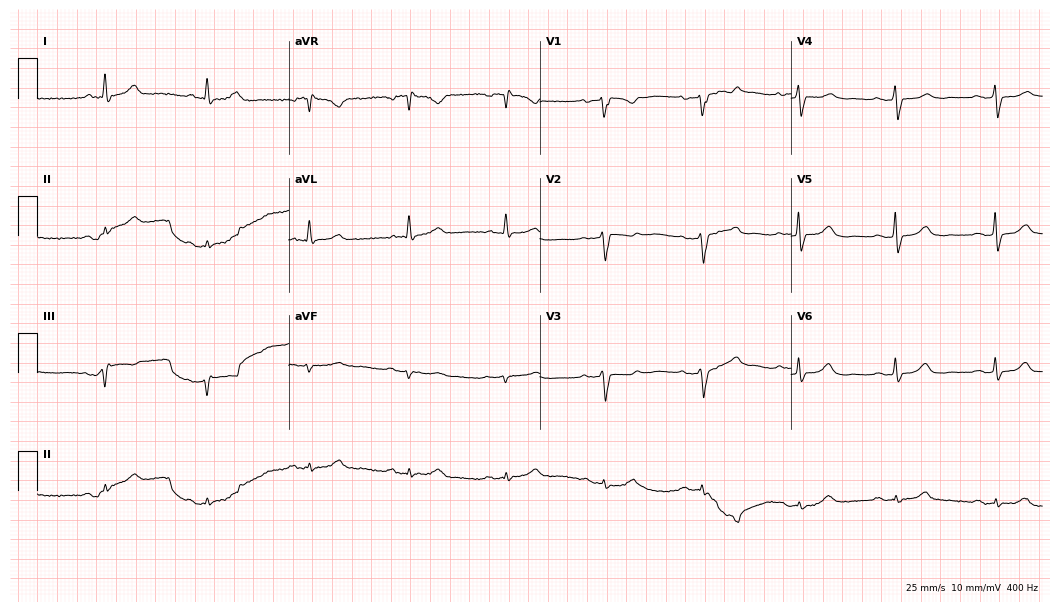
12-lead ECG (10.2-second recording at 400 Hz) from a female patient, 77 years old. Labelled as a normal ECG.